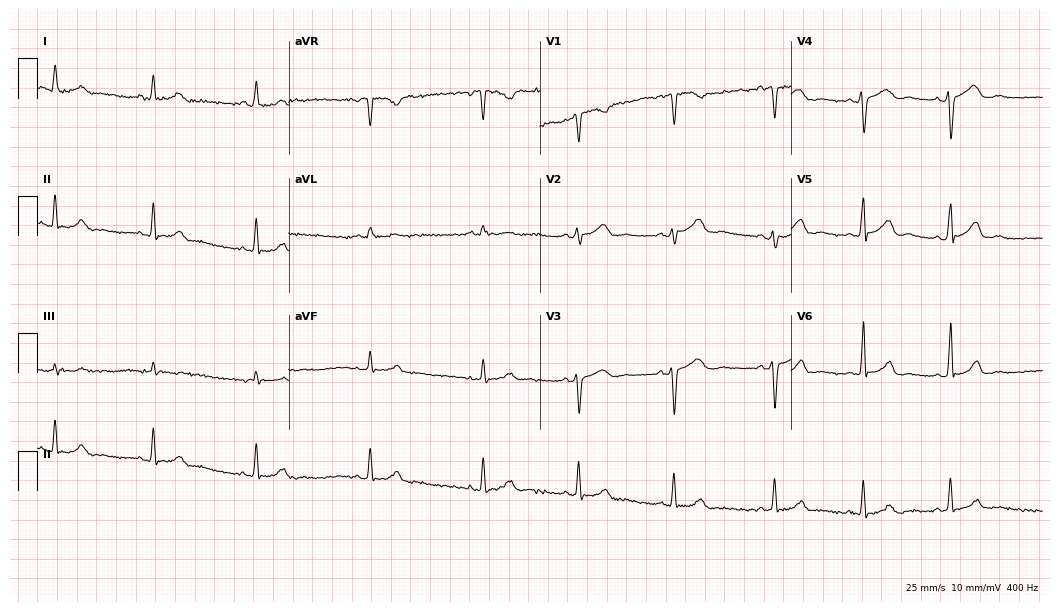
12-lead ECG from a woman, 20 years old. Recorded interpretation: within normal limits.